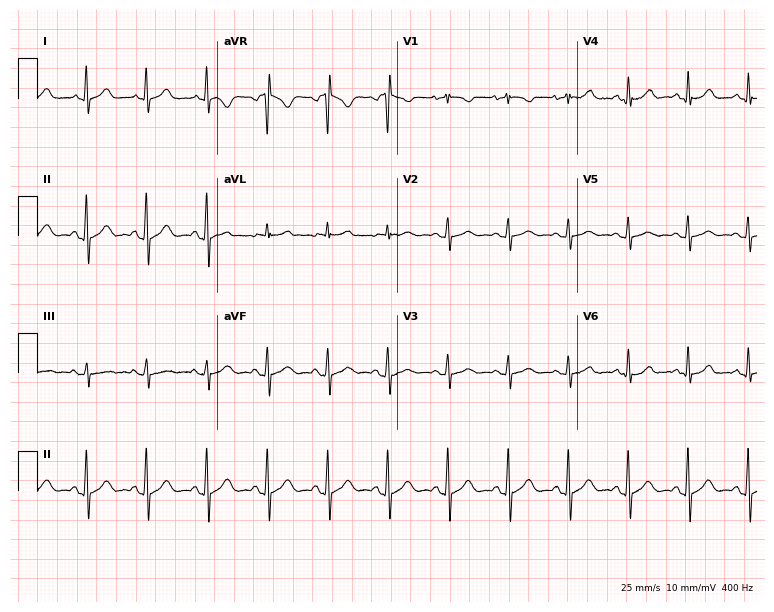
Standard 12-lead ECG recorded from a 73-year-old female (7.3-second recording at 400 Hz). None of these six findings is recorded: first-degree AV block, right bundle branch block (RBBB), left bundle branch block (LBBB), sinus bradycardia, atrial fibrillation (AF), sinus tachycardia. Only these six findings were labelled.